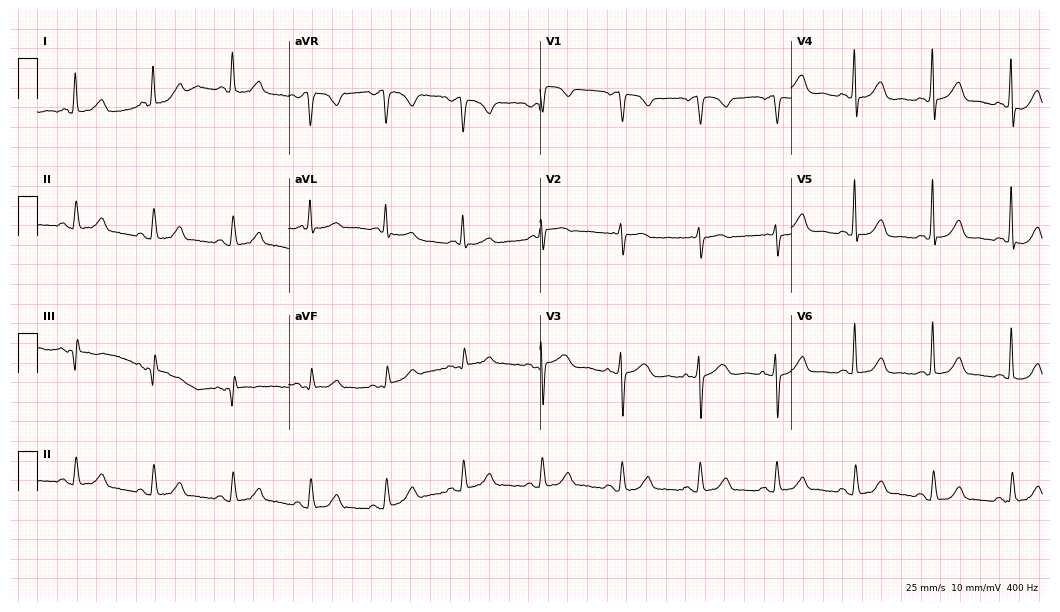
Resting 12-lead electrocardiogram (10.2-second recording at 400 Hz). Patient: a woman, 76 years old. Read as a normal ECG.